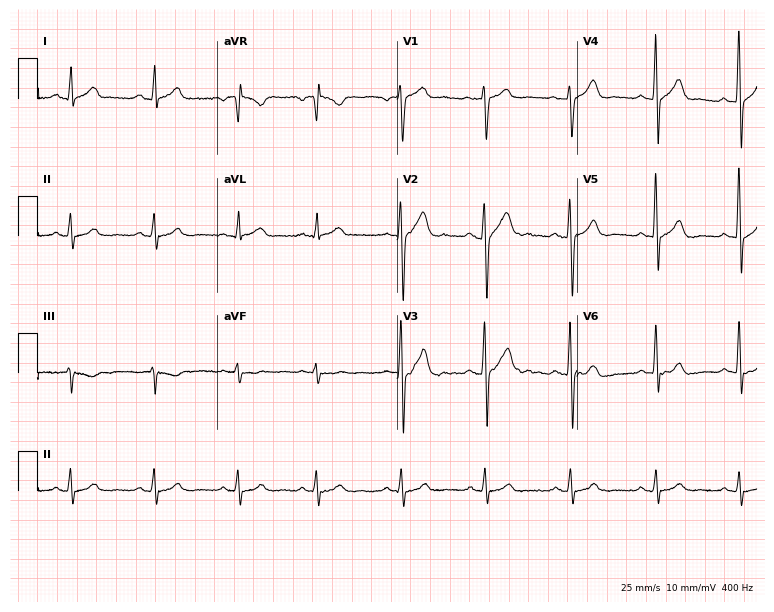
12-lead ECG from a 33-year-old male. Labelled as a normal ECG.